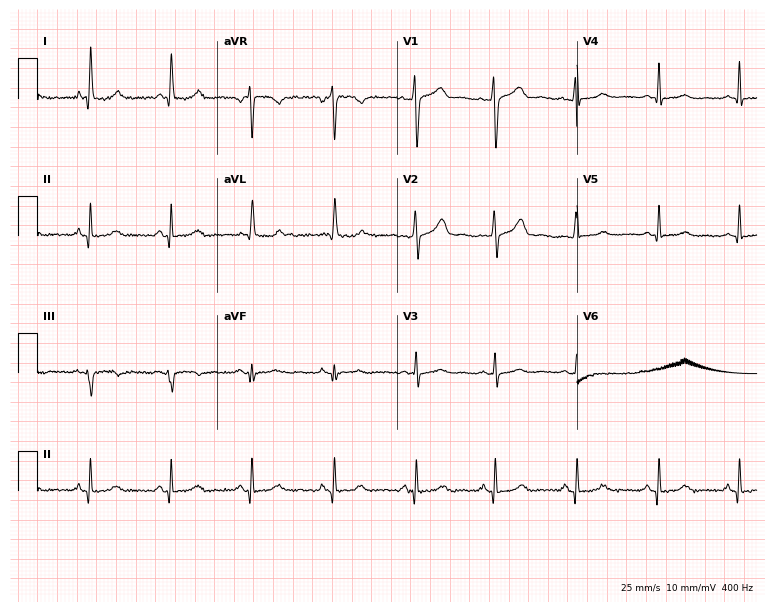
Electrocardiogram (7.3-second recording at 400 Hz), a 44-year-old woman. Of the six screened findings (first-degree AV block, right bundle branch block, left bundle branch block, sinus bradycardia, atrial fibrillation, sinus tachycardia), none is recorded.